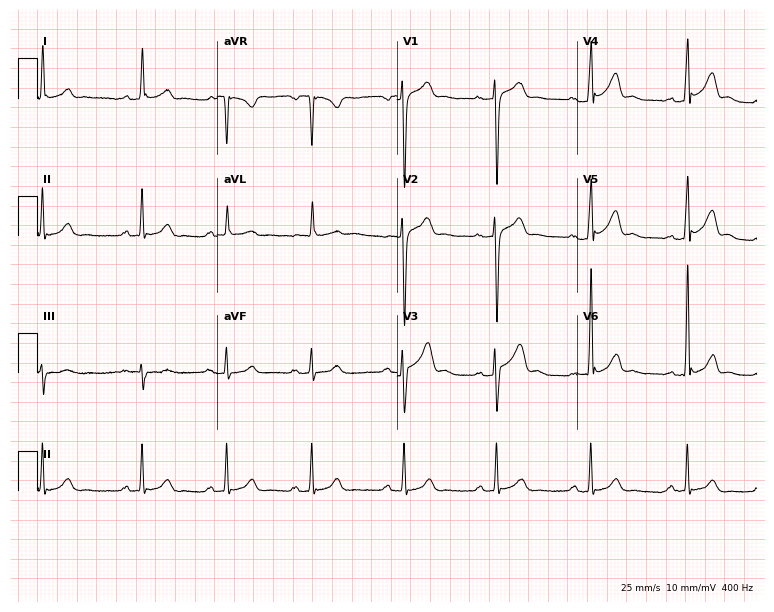
Standard 12-lead ECG recorded from a male, 27 years old. Read as a normal ECG.